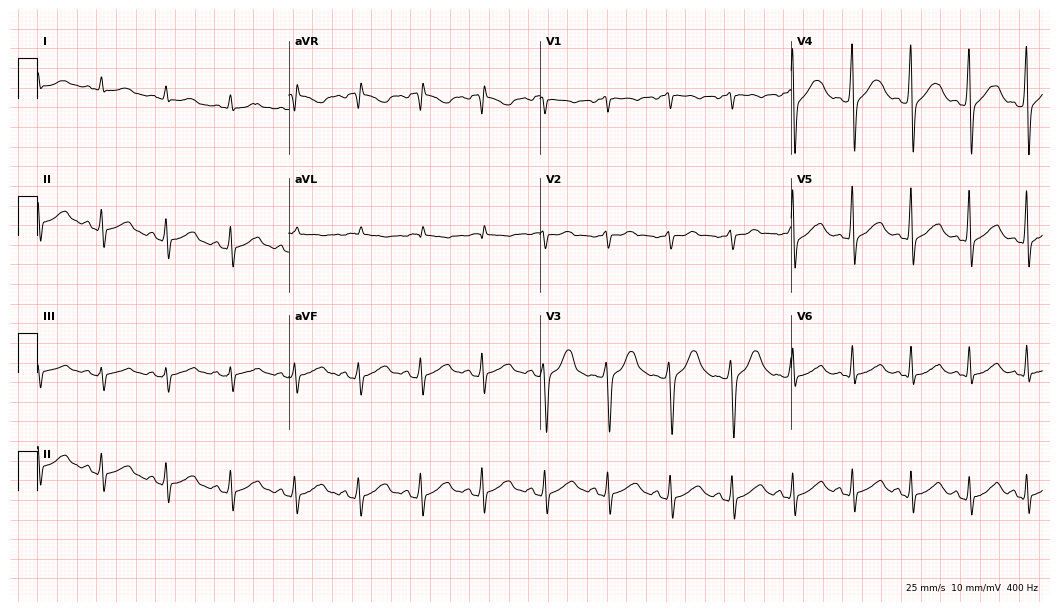
Resting 12-lead electrocardiogram. Patient: a man, 34 years old. Read as a normal ECG.